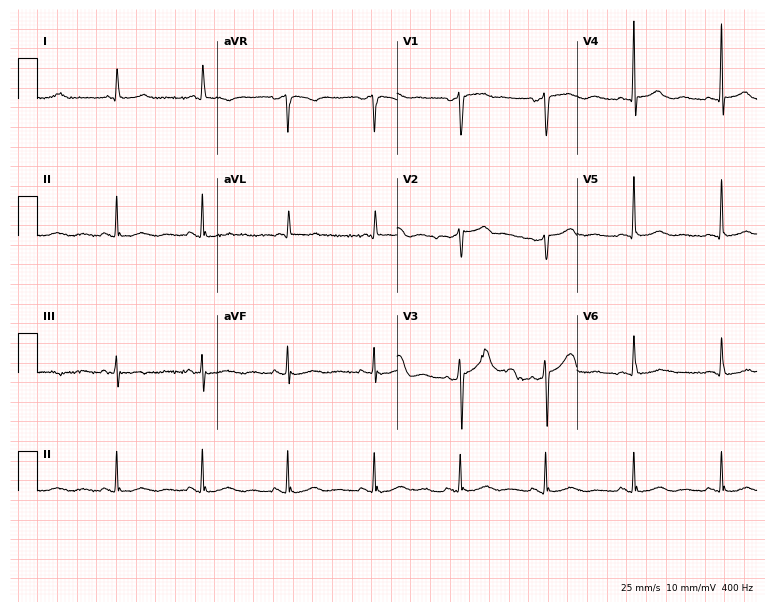
Resting 12-lead electrocardiogram. Patient: a female, 58 years old. None of these six findings is recorded: first-degree AV block, right bundle branch block (RBBB), left bundle branch block (LBBB), sinus bradycardia, atrial fibrillation (AF), sinus tachycardia.